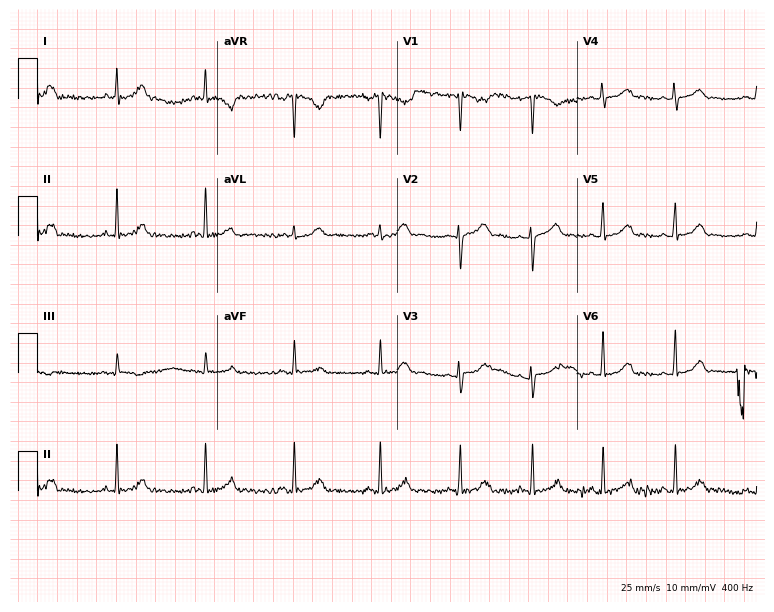
12-lead ECG from a 27-year-old female patient (7.3-second recording at 400 Hz). Recorded interpretation: within normal limits.